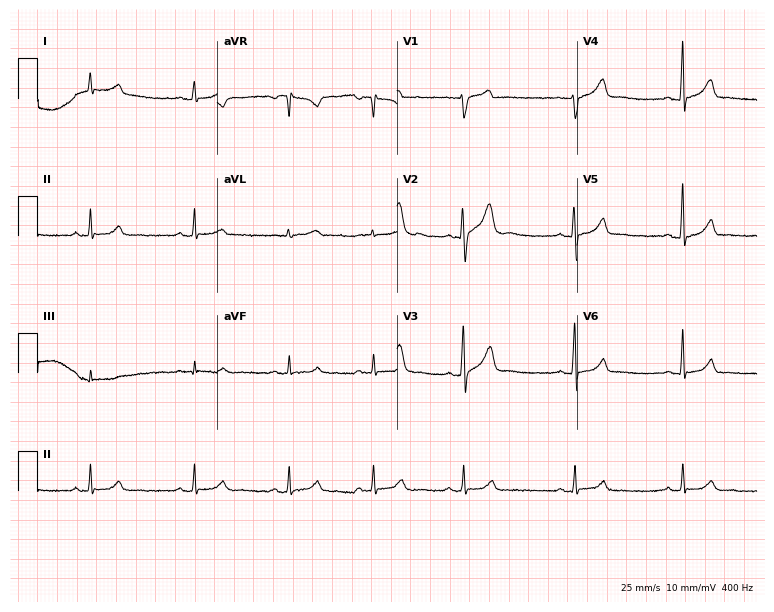
12-lead ECG from a 42-year-old male. Screened for six findings — first-degree AV block, right bundle branch block (RBBB), left bundle branch block (LBBB), sinus bradycardia, atrial fibrillation (AF), sinus tachycardia — none is recorded. Only these six findings were labelled.